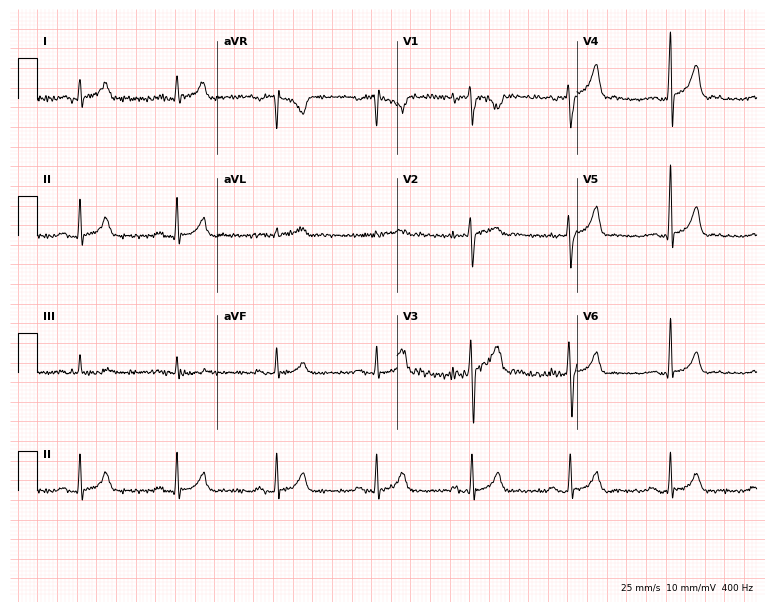
12-lead ECG (7.3-second recording at 400 Hz) from a 36-year-old male patient. Labelled as a normal ECG.